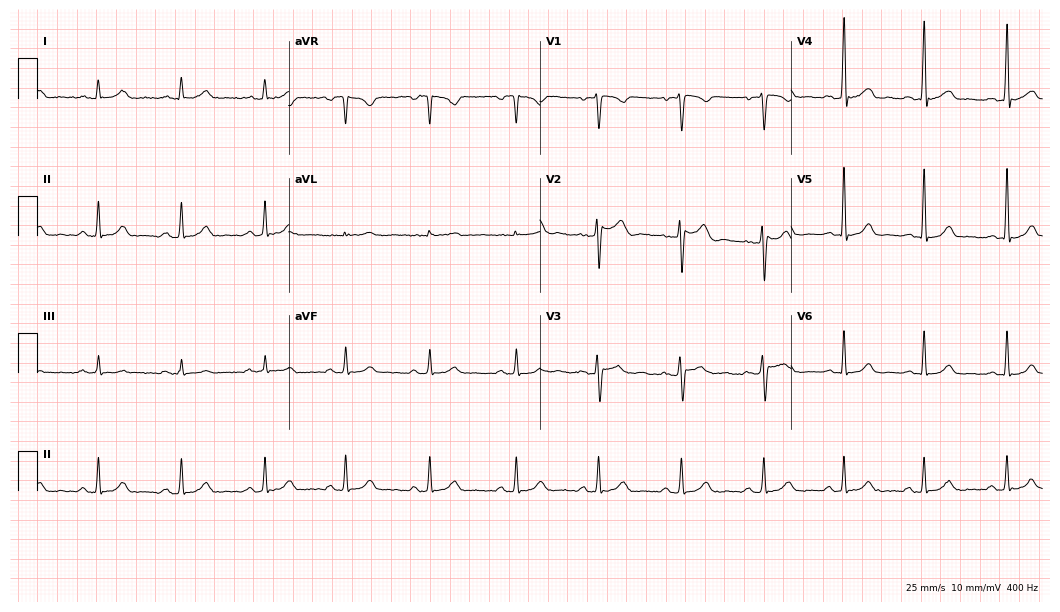
Resting 12-lead electrocardiogram (10.2-second recording at 400 Hz). Patient: a female, 79 years old. Read as a normal ECG.